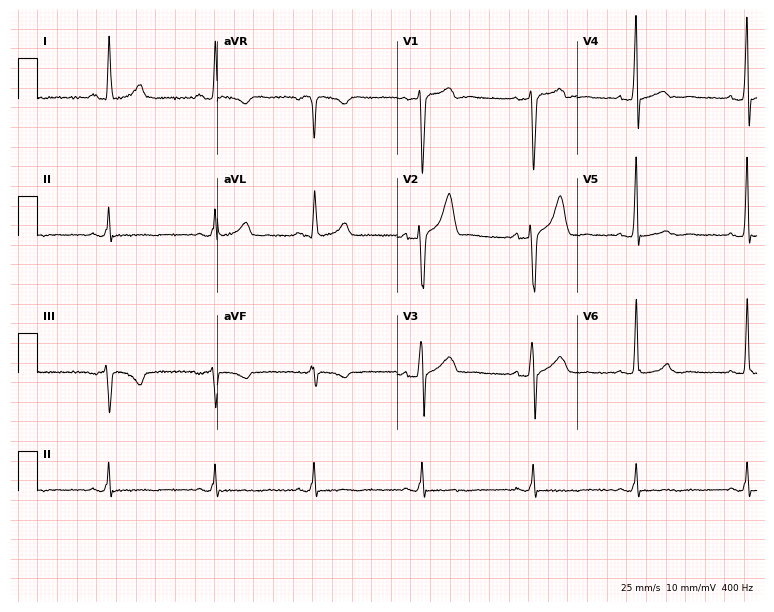
Electrocardiogram, a 34-year-old male. Of the six screened findings (first-degree AV block, right bundle branch block (RBBB), left bundle branch block (LBBB), sinus bradycardia, atrial fibrillation (AF), sinus tachycardia), none is recorded.